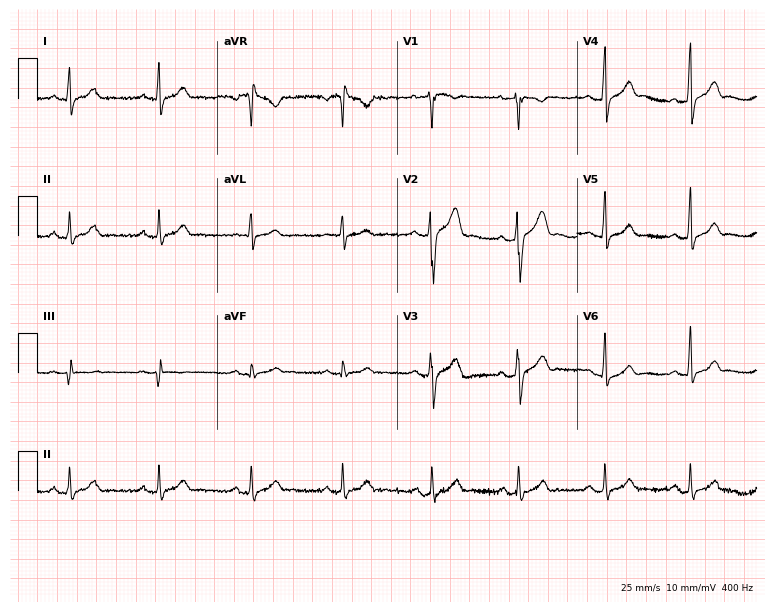
Electrocardiogram (7.3-second recording at 400 Hz), a male, 37 years old. Overall reading on record: normal ECG.